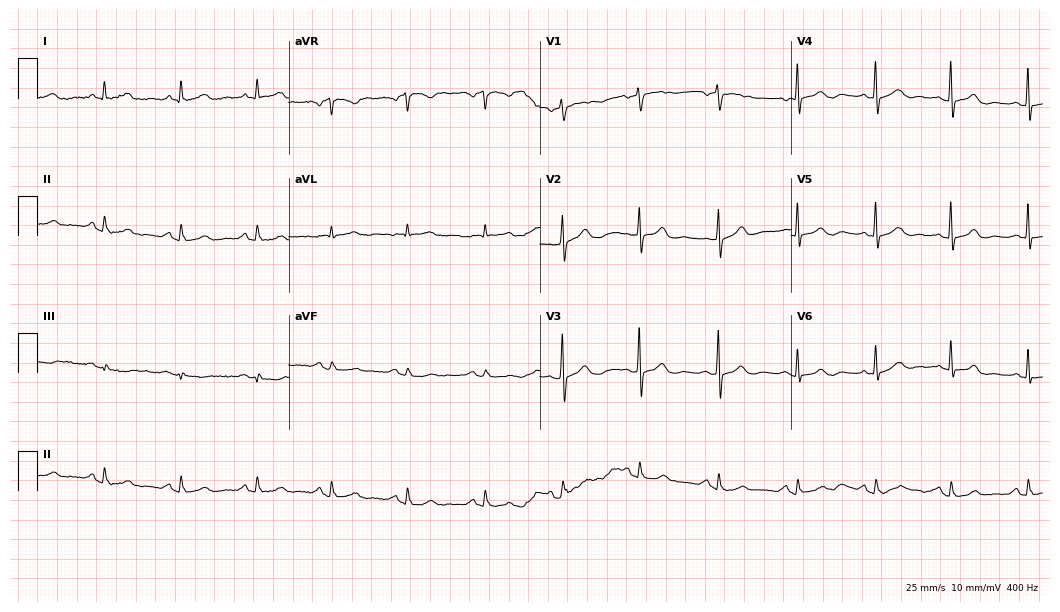
12-lead ECG (10.2-second recording at 400 Hz) from a female patient, 68 years old. Screened for six findings — first-degree AV block, right bundle branch block, left bundle branch block, sinus bradycardia, atrial fibrillation, sinus tachycardia — none is recorded. Only these six findings were labelled.